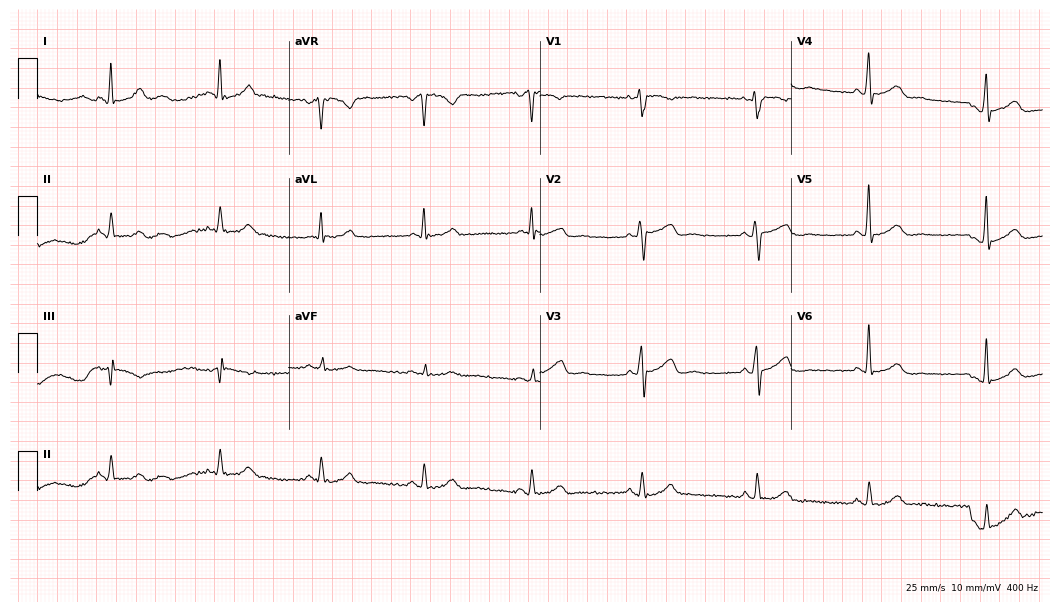
ECG (10.2-second recording at 400 Hz) — a man, 58 years old. Labelled as a normal ECG.